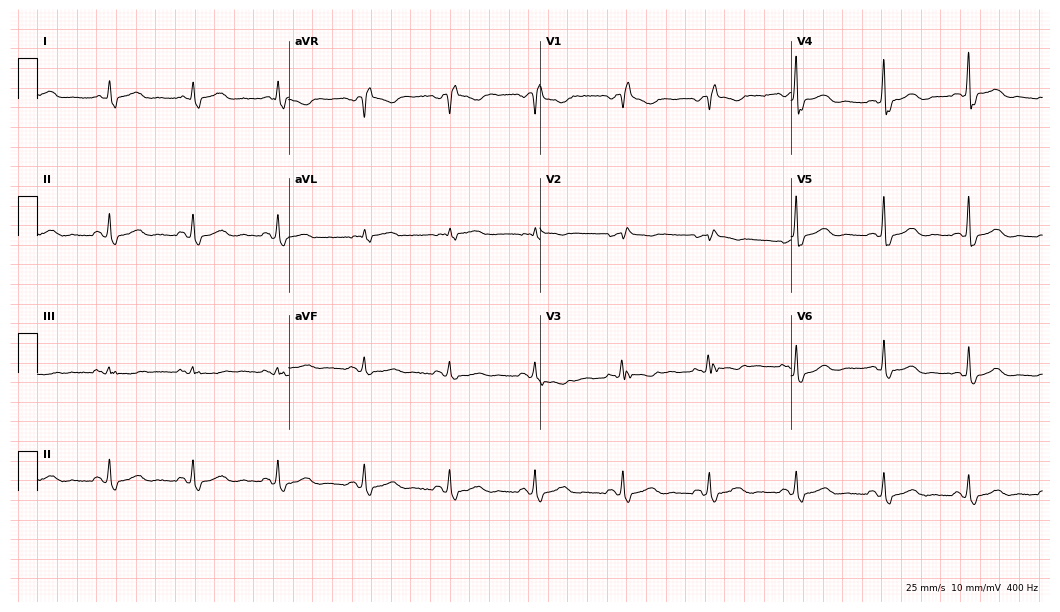
12-lead ECG (10.2-second recording at 400 Hz) from a female, 61 years old. Findings include right bundle branch block.